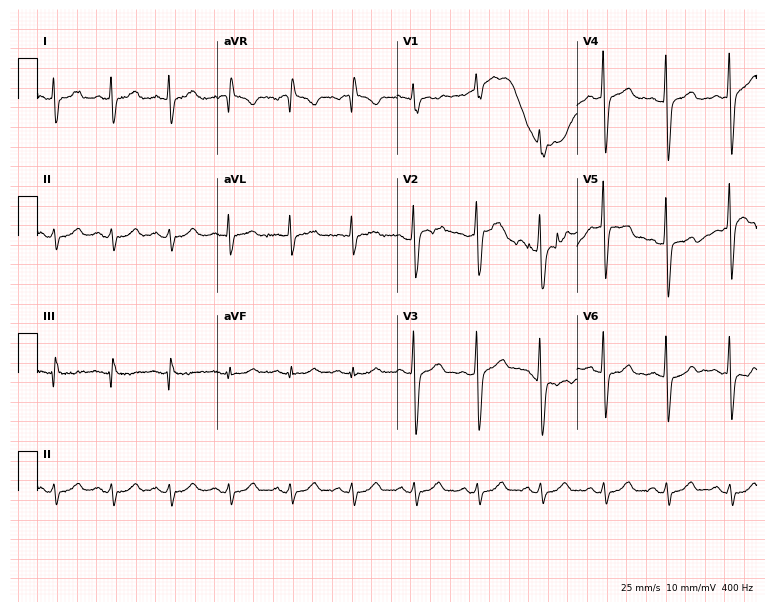
Standard 12-lead ECG recorded from a male patient, 41 years old. None of these six findings is recorded: first-degree AV block, right bundle branch block, left bundle branch block, sinus bradycardia, atrial fibrillation, sinus tachycardia.